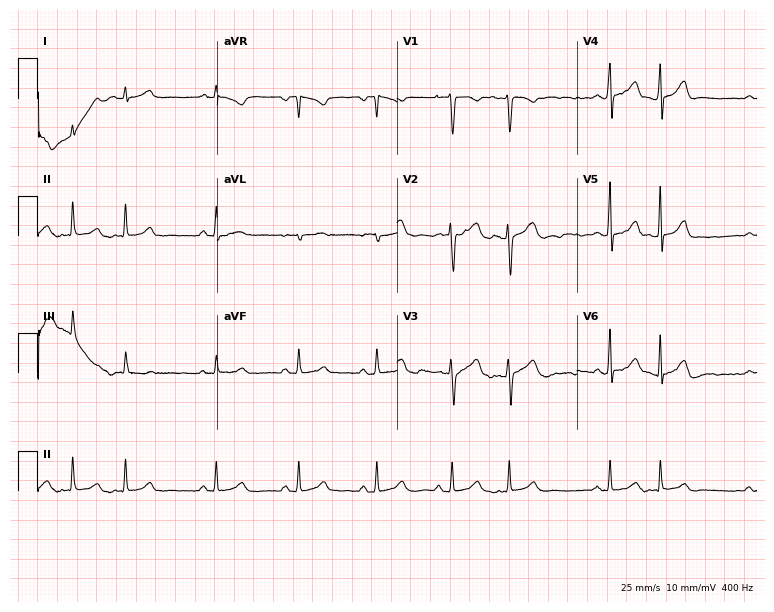
ECG (7.3-second recording at 400 Hz) — a woman, 36 years old. Screened for six findings — first-degree AV block, right bundle branch block (RBBB), left bundle branch block (LBBB), sinus bradycardia, atrial fibrillation (AF), sinus tachycardia — none is recorded.